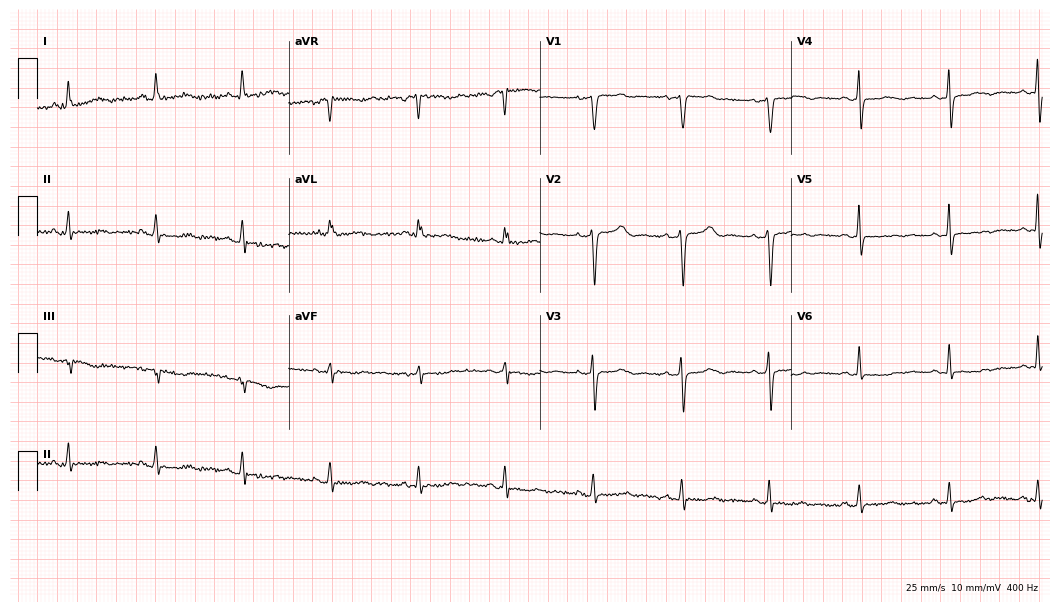
Resting 12-lead electrocardiogram (10.2-second recording at 400 Hz). Patient: a 62-year-old woman. None of these six findings is recorded: first-degree AV block, right bundle branch block (RBBB), left bundle branch block (LBBB), sinus bradycardia, atrial fibrillation (AF), sinus tachycardia. Only these six findings were labelled.